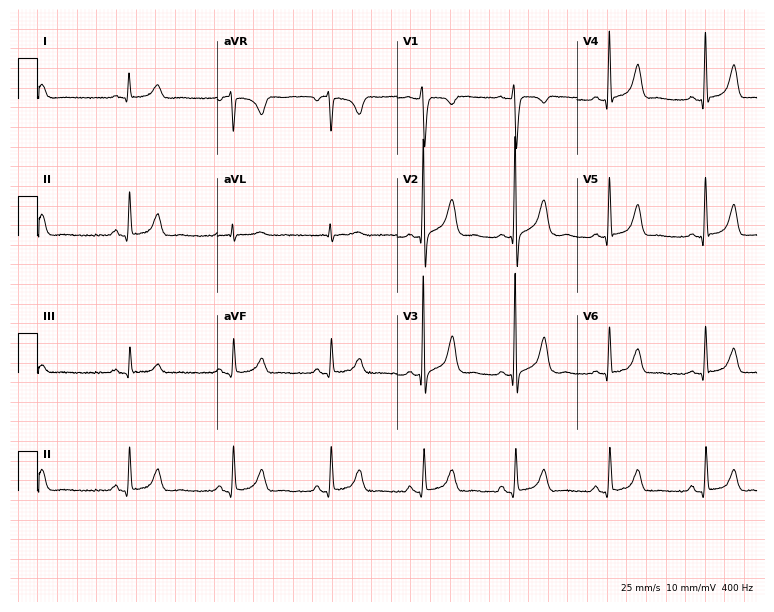
12-lead ECG from a male, 51 years old. Labelled as a normal ECG.